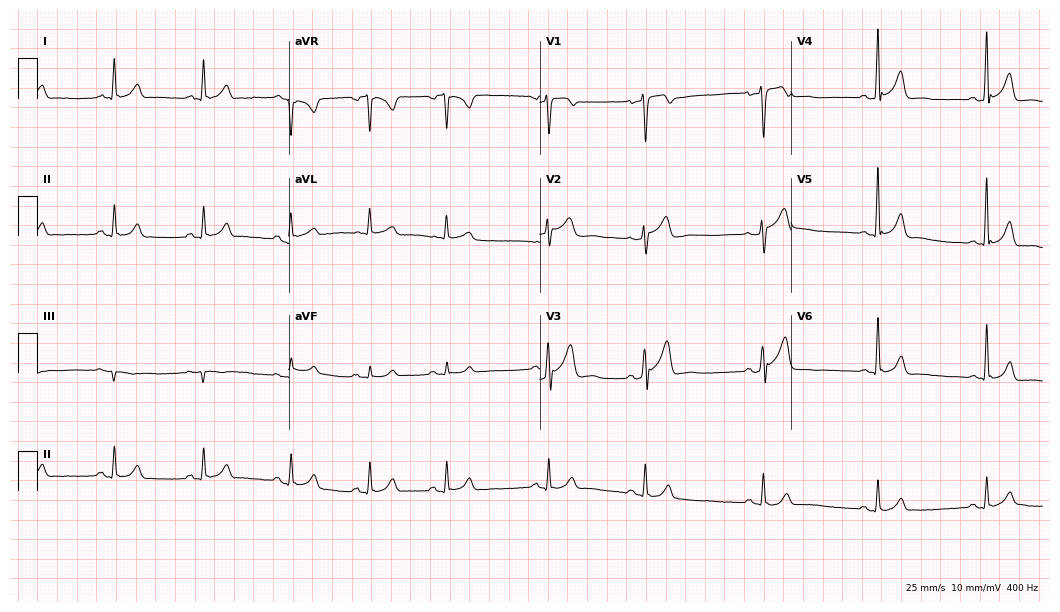
ECG — a 38-year-old man. Labelled as a normal ECG.